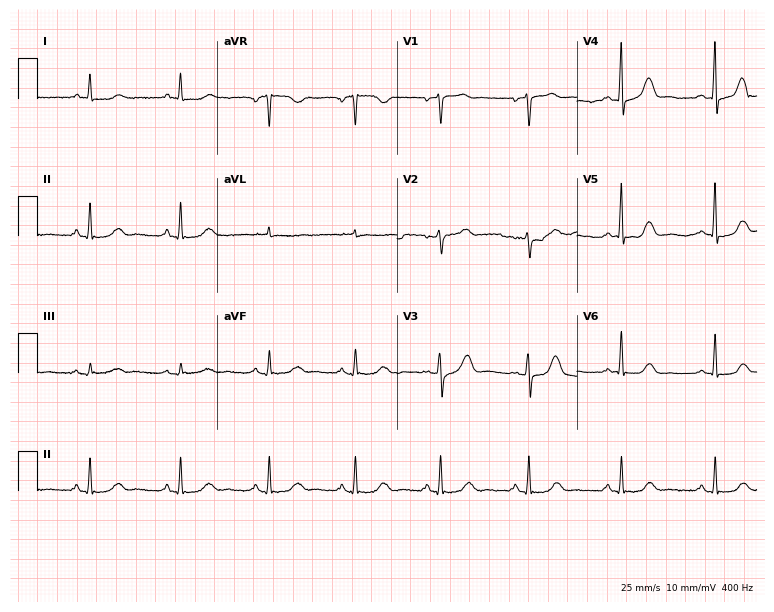
12-lead ECG from a woman, 61 years old (7.3-second recording at 400 Hz). Recorded interpretation: within normal limits.